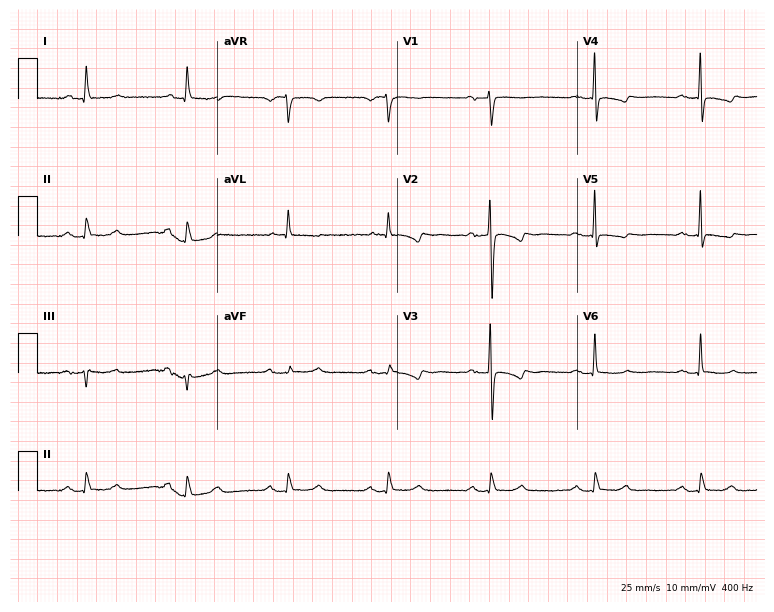
Resting 12-lead electrocardiogram. Patient: a female, 73 years old. None of these six findings is recorded: first-degree AV block, right bundle branch block, left bundle branch block, sinus bradycardia, atrial fibrillation, sinus tachycardia.